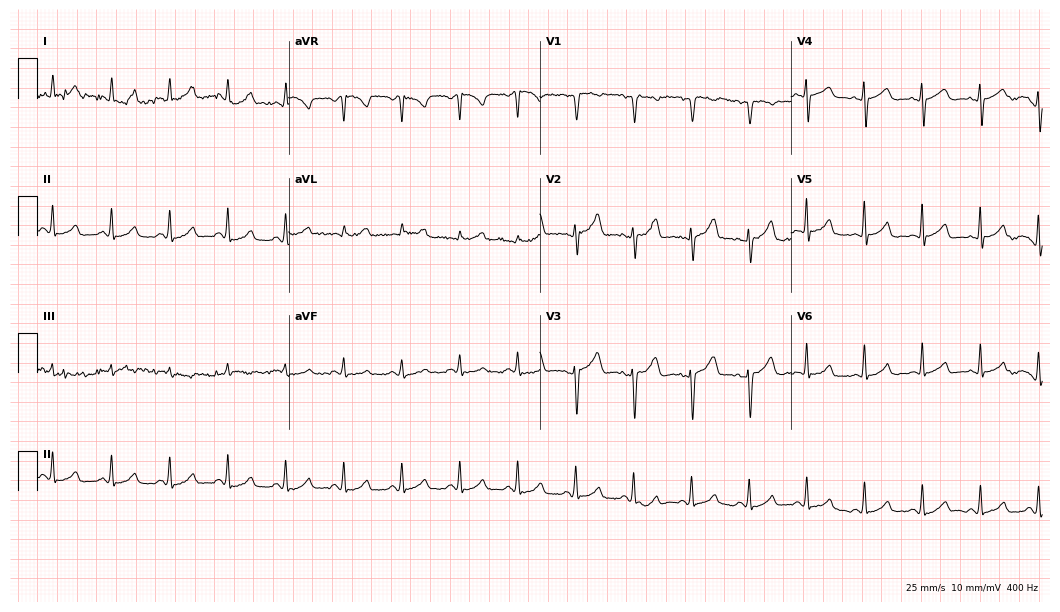
Standard 12-lead ECG recorded from a female, 28 years old. None of these six findings is recorded: first-degree AV block, right bundle branch block (RBBB), left bundle branch block (LBBB), sinus bradycardia, atrial fibrillation (AF), sinus tachycardia. Other findings, if any, are not listed.